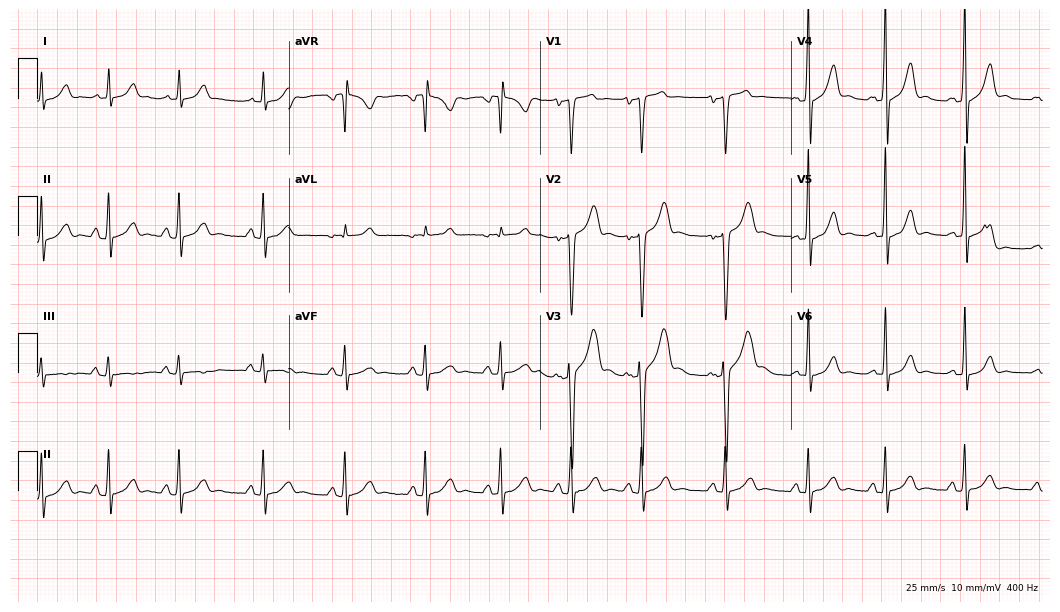
ECG — a 23-year-old male. Labelled as a normal ECG.